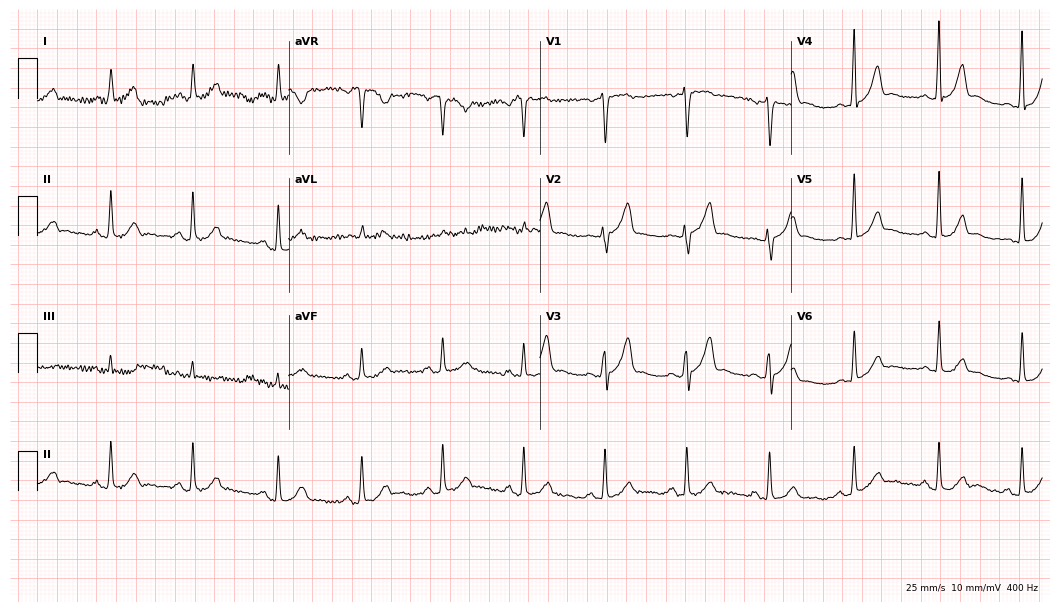
ECG — a male, 58 years old. Labelled as a normal ECG.